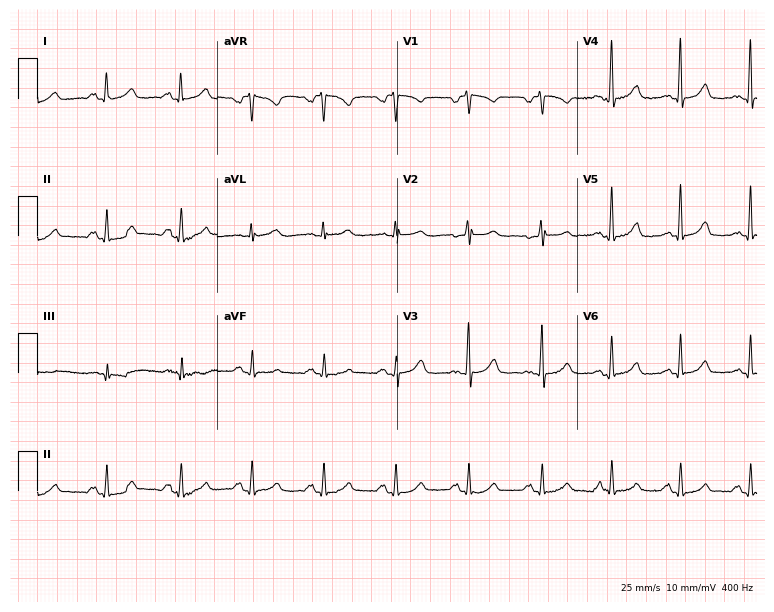
Resting 12-lead electrocardiogram. Patient: a female, 52 years old. Read as a normal ECG.